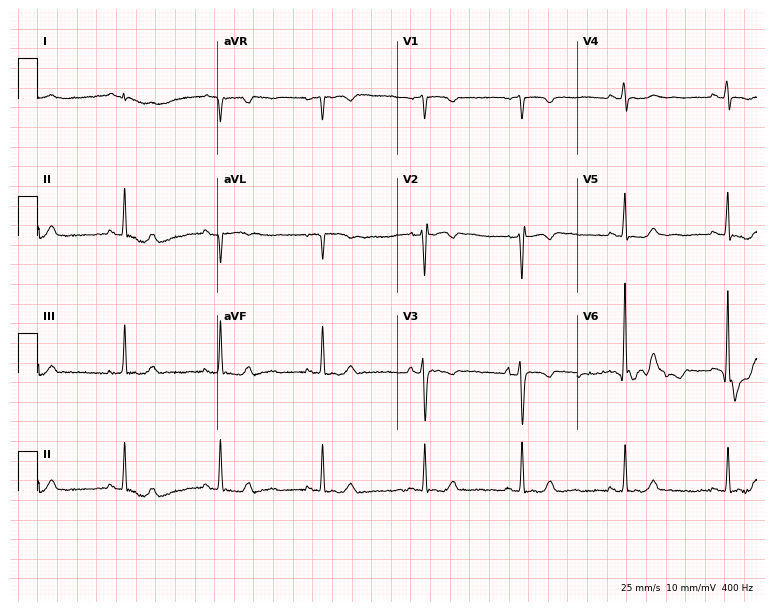
Standard 12-lead ECG recorded from a female, 68 years old (7.3-second recording at 400 Hz). None of these six findings is recorded: first-degree AV block, right bundle branch block, left bundle branch block, sinus bradycardia, atrial fibrillation, sinus tachycardia. Other findings, if any, are not listed.